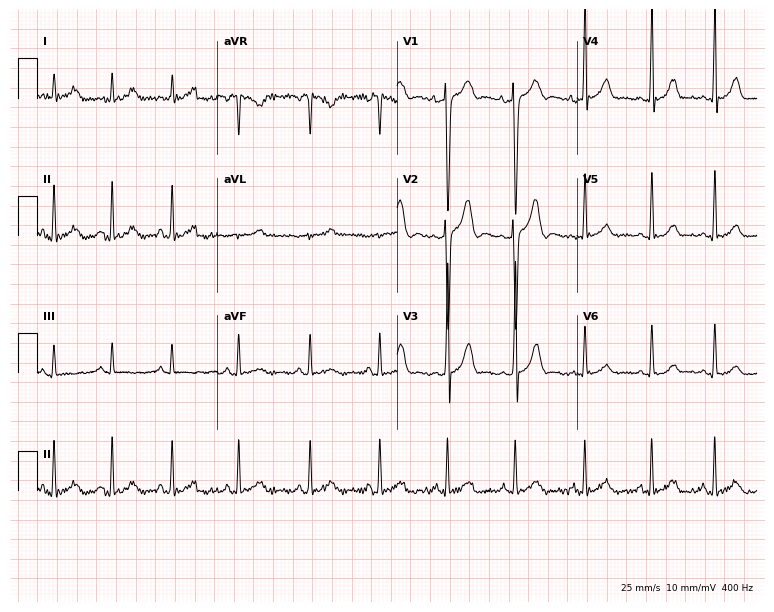
12-lead ECG (7.3-second recording at 400 Hz) from a 19-year-old female. Screened for six findings — first-degree AV block, right bundle branch block, left bundle branch block, sinus bradycardia, atrial fibrillation, sinus tachycardia — none is recorded. Findings outside these six are not listed.